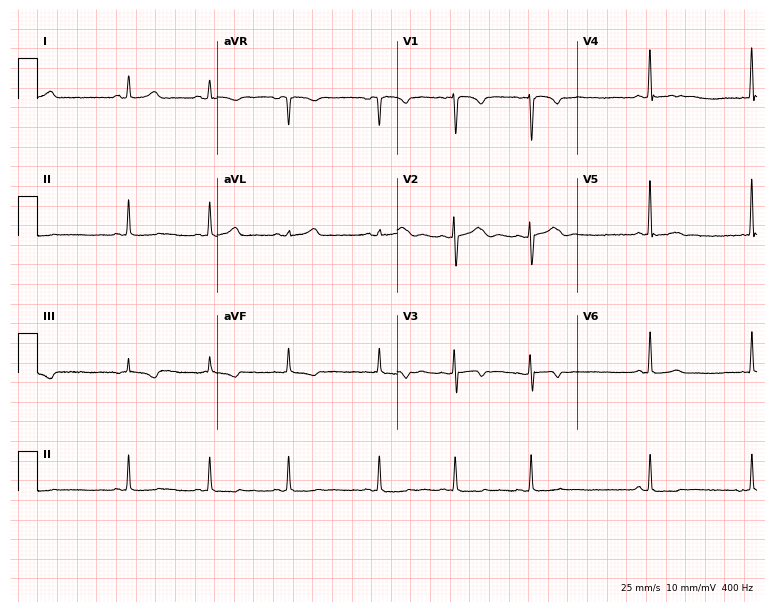
12-lead ECG from a woman, 18 years old (7.3-second recording at 400 Hz). No first-degree AV block, right bundle branch block (RBBB), left bundle branch block (LBBB), sinus bradycardia, atrial fibrillation (AF) or sinus tachycardia recorded for this tracing. Other findings, if any, are not listed.